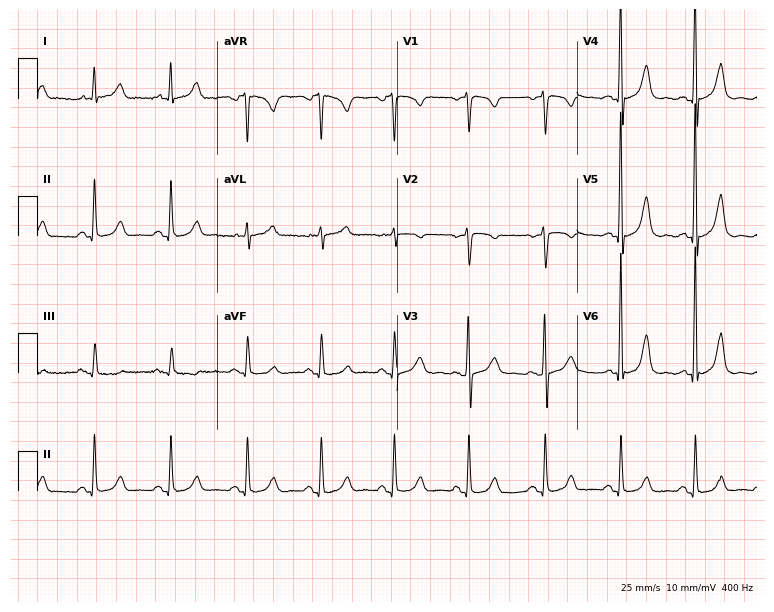
12-lead ECG from a 53-year-old female patient (7.3-second recording at 400 Hz). No first-degree AV block, right bundle branch block (RBBB), left bundle branch block (LBBB), sinus bradycardia, atrial fibrillation (AF) or sinus tachycardia recorded for this tracing. Only these six findings were labelled.